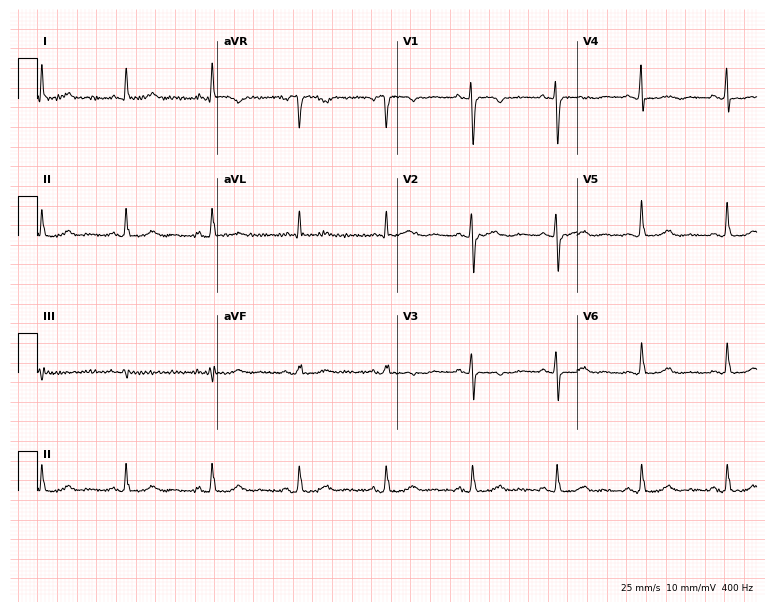
12-lead ECG from a 75-year-old female patient. Screened for six findings — first-degree AV block, right bundle branch block, left bundle branch block, sinus bradycardia, atrial fibrillation, sinus tachycardia — none is recorded.